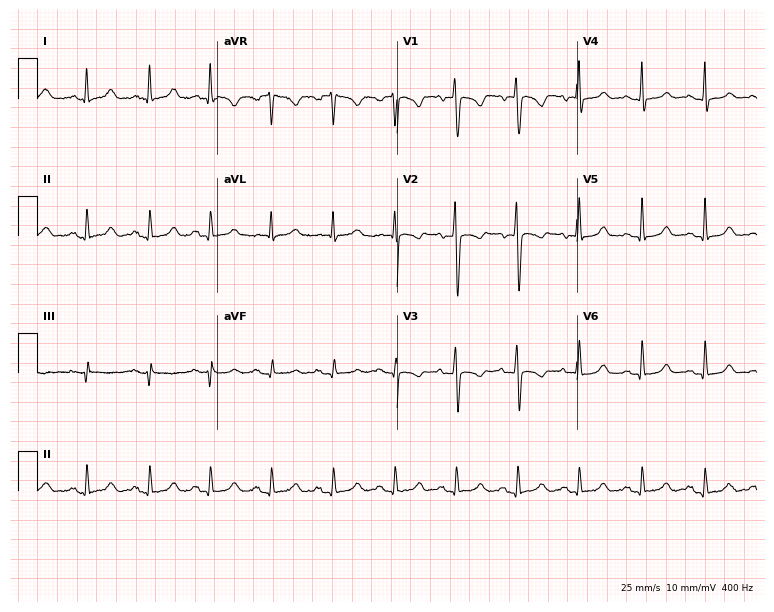
12-lead ECG (7.3-second recording at 400 Hz) from a 24-year-old female patient. Labelled as a normal ECG.